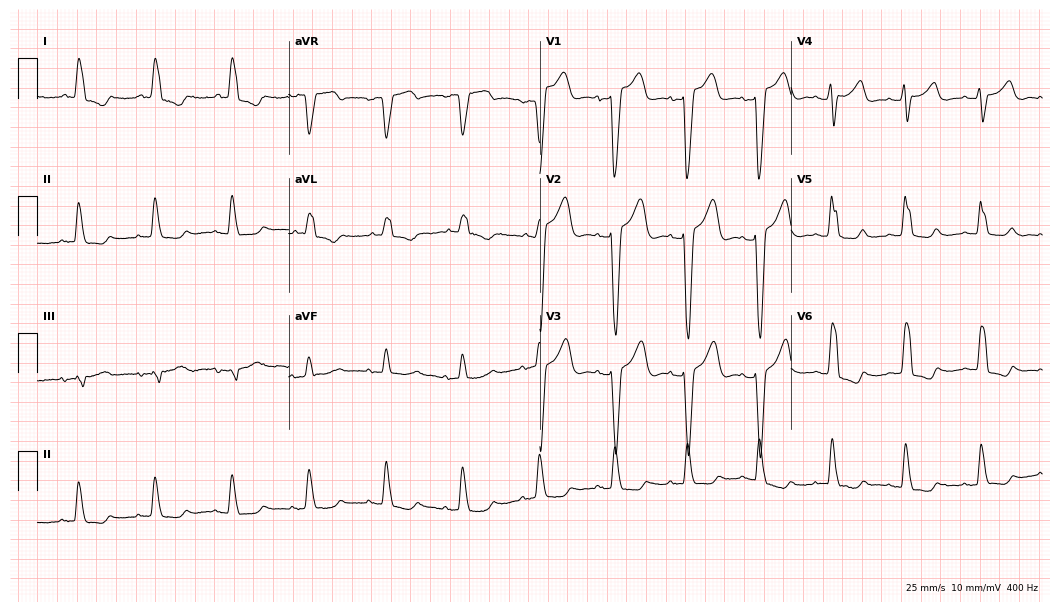
12-lead ECG from a female, 79 years old (10.2-second recording at 400 Hz). Shows left bundle branch block (LBBB).